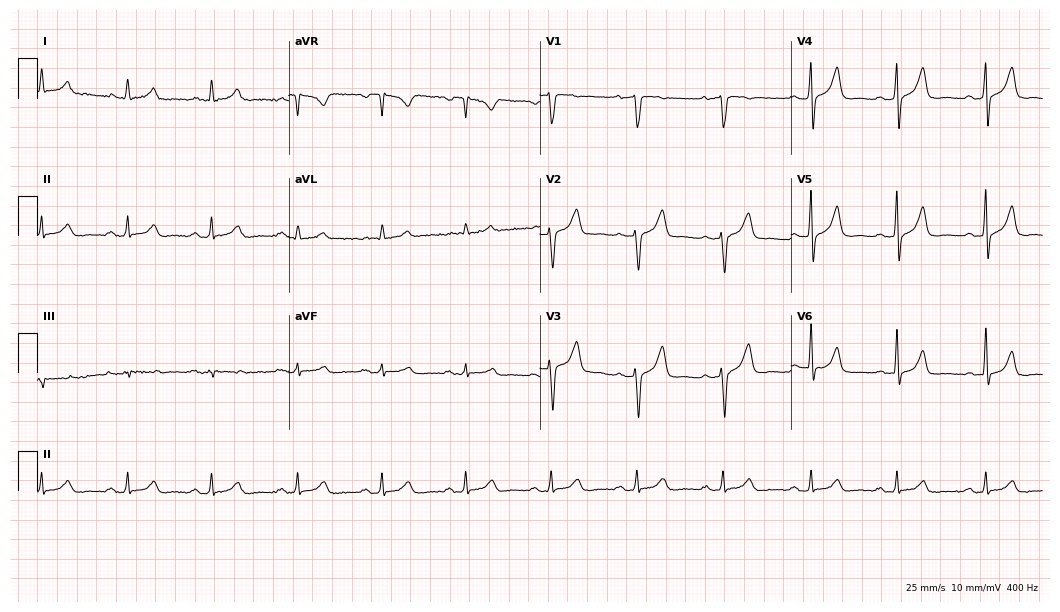
Resting 12-lead electrocardiogram. Patient: a 59-year-old male. Read as a normal ECG.